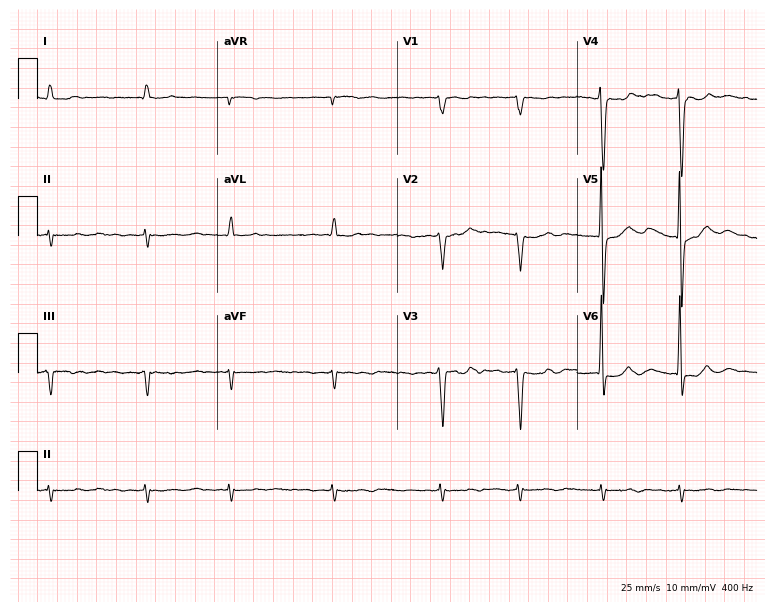
Electrocardiogram, an 82-year-old male. Of the six screened findings (first-degree AV block, right bundle branch block, left bundle branch block, sinus bradycardia, atrial fibrillation, sinus tachycardia), none is recorded. Findings outside these six are not listed.